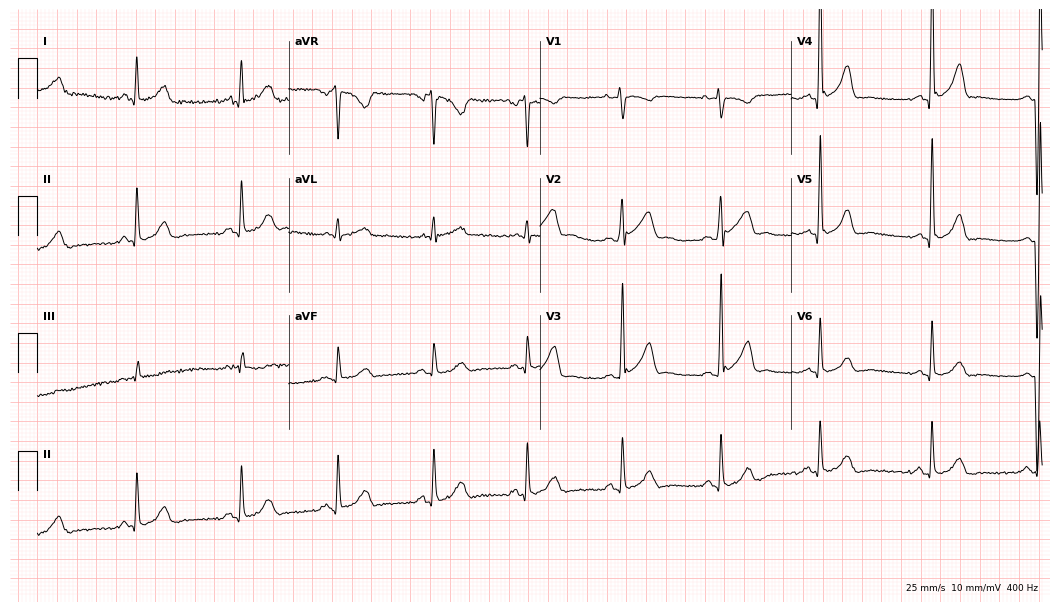
Standard 12-lead ECG recorded from a 42-year-old male patient (10.2-second recording at 400 Hz). Read as a normal ECG.